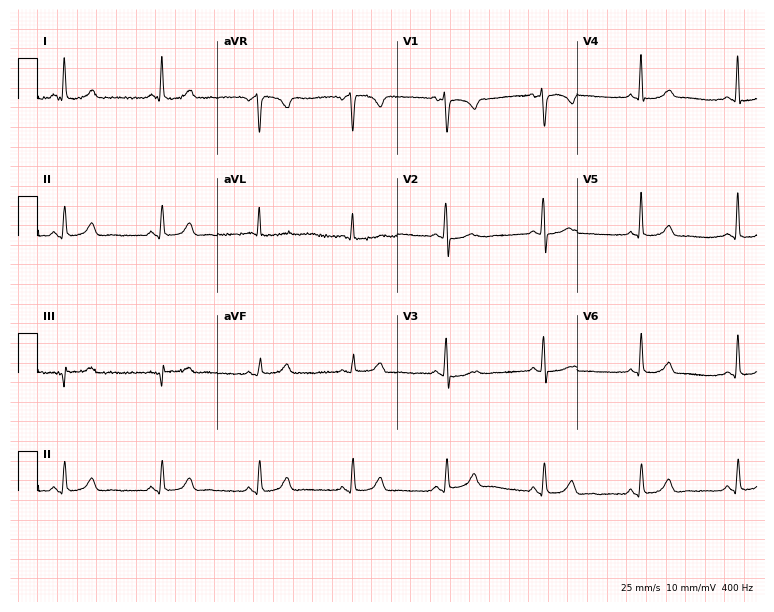
12-lead ECG from a 64-year-old female (7.3-second recording at 400 Hz). No first-degree AV block, right bundle branch block, left bundle branch block, sinus bradycardia, atrial fibrillation or sinus tachycardia recorded for this tracing.